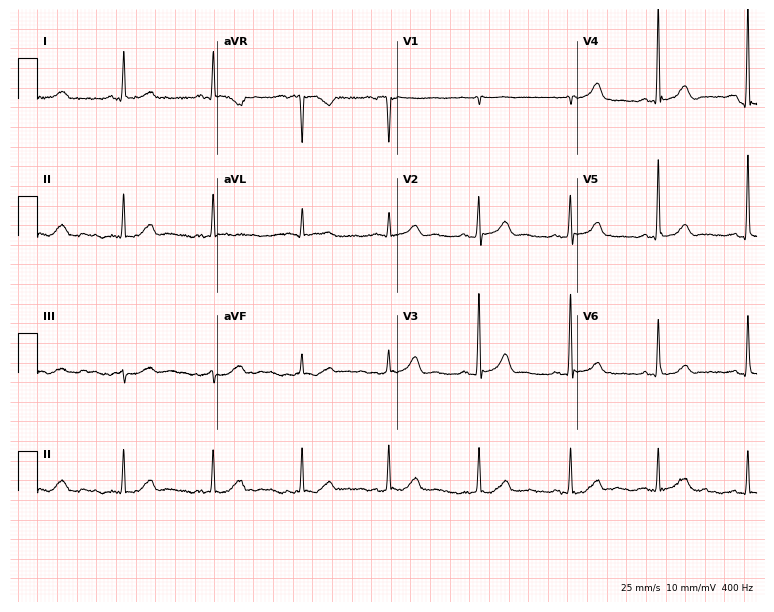
12-lead ECG from a female patient, 57 years old (7.3-second recording at 400 Hz). Recorded interpretation: within normal limits.